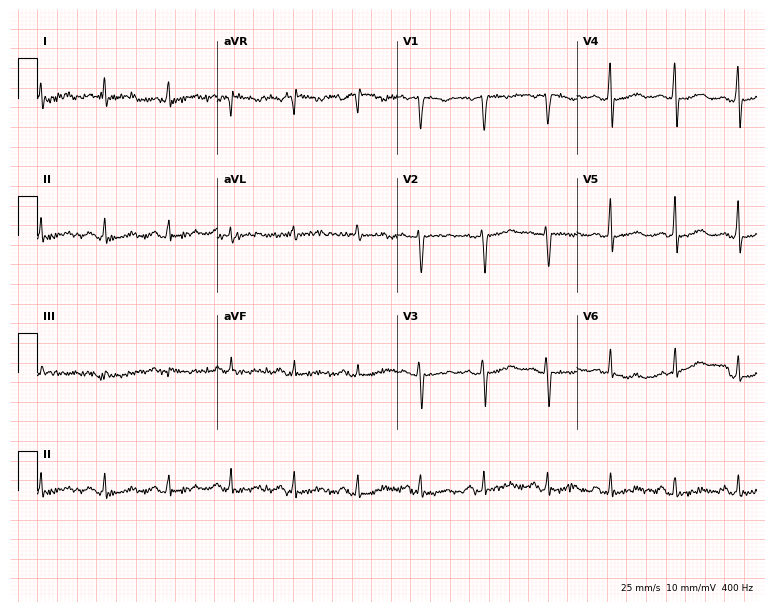
12-lead ECG from a 54-year-old woman. No first-degree AV block, right bundle branch block (RBBB), left bundle branch block (LBBB), sinus bradycardia, atrial fibrillation (AF) or sinus tachycardia recorded for this tracing.